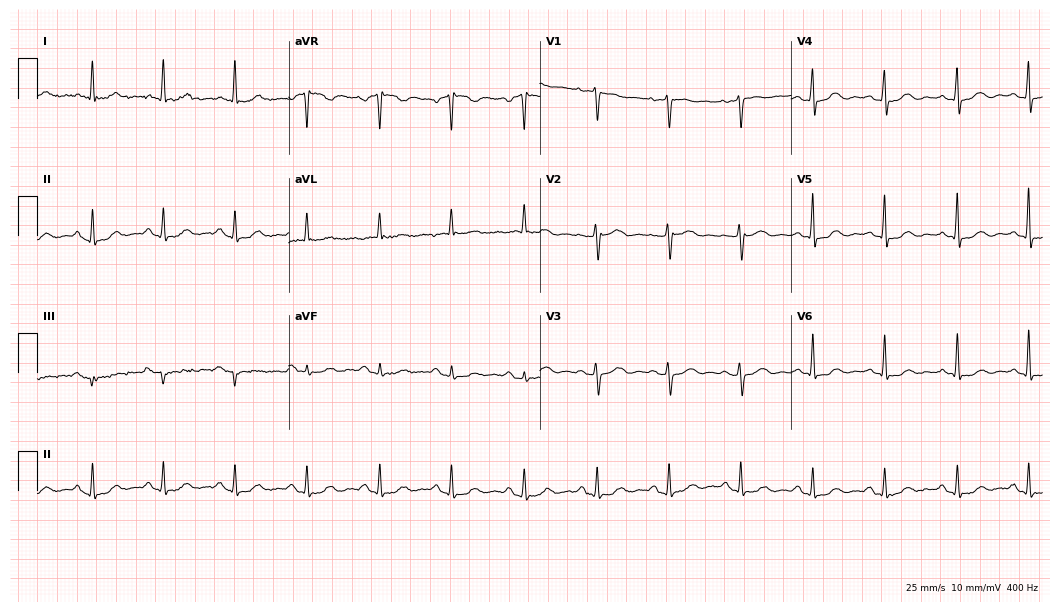
Electrocardiogram, an 80-year-old female. Of the six screened findings (first-degree AV block, right bundle branch block (RBBB), left bundle branch block (LBBB), sinus bradycardia, atrial fibrillation (AF), sinus tachycardia), none is recorded.